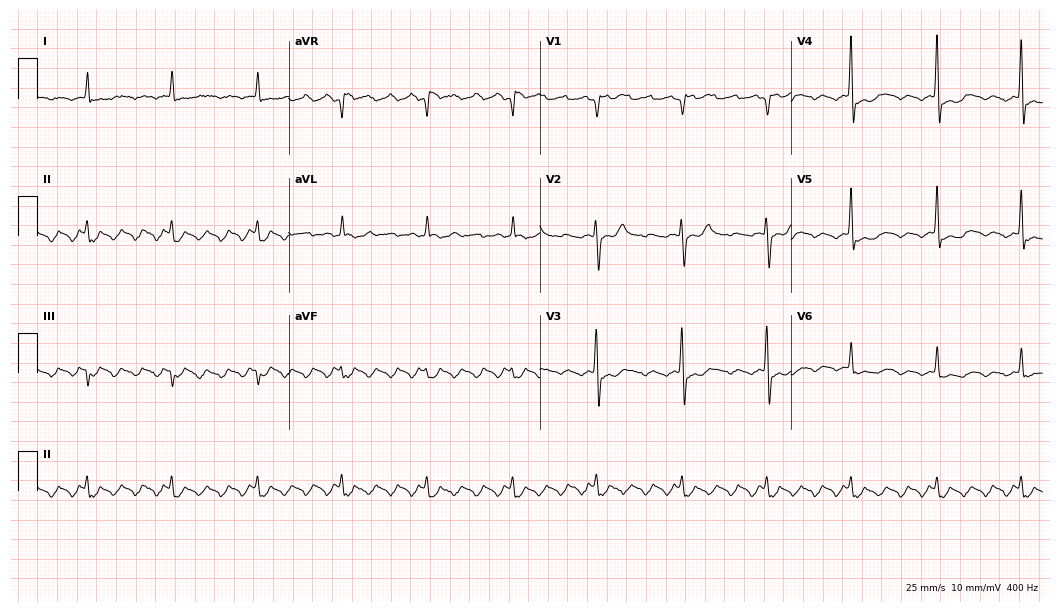
12-lead ECG (10.2-second recording at 400 Hz) from a 73-year-old male. Screened for six findings — first-degree AV block, right bundle branch block, left bundle branch block, sinus bradycardia, atrial fibrillation, sinus tachycardia — none is recorded. Findings outside these six are not listed.